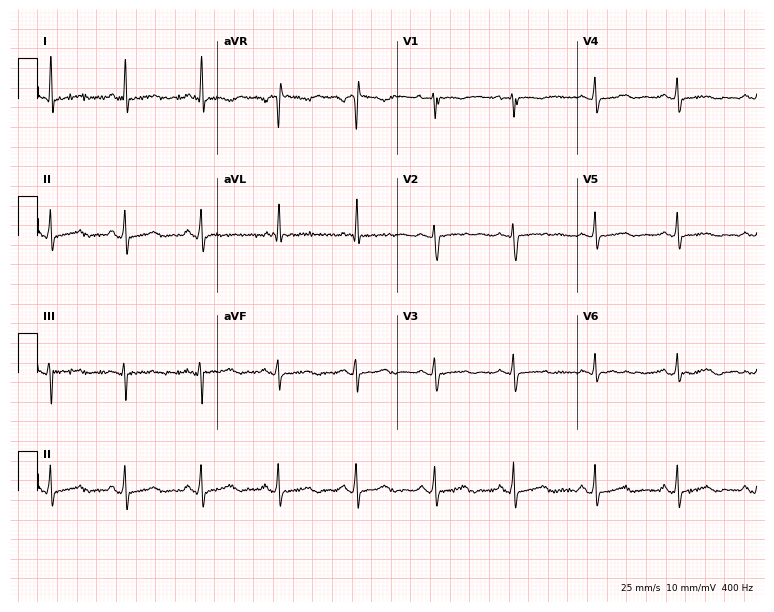
12-lead ECG from a female, 61 years old (7.3-second recording at 400 Hz). No first-degree AV block, right bundle branch block, left bundle branch block, sinus bradycardia, atrial fibrillation or sinus tachycardia recorded for this tracing. Other findings, if any, are not listed.